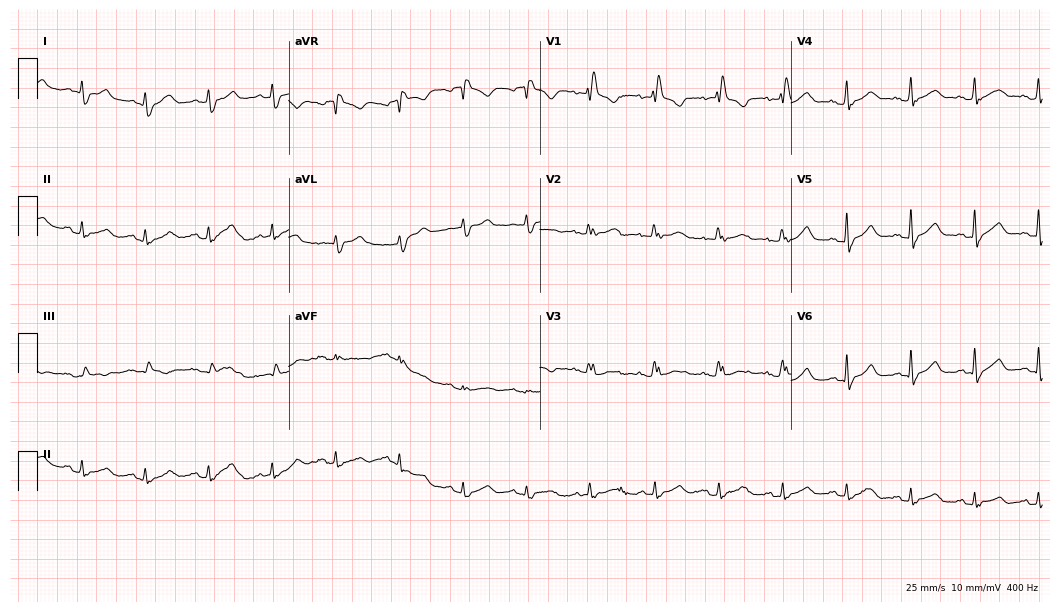
12-lead ECG from a woman, 46 years old. Shows right bundle branch block (RBBB).